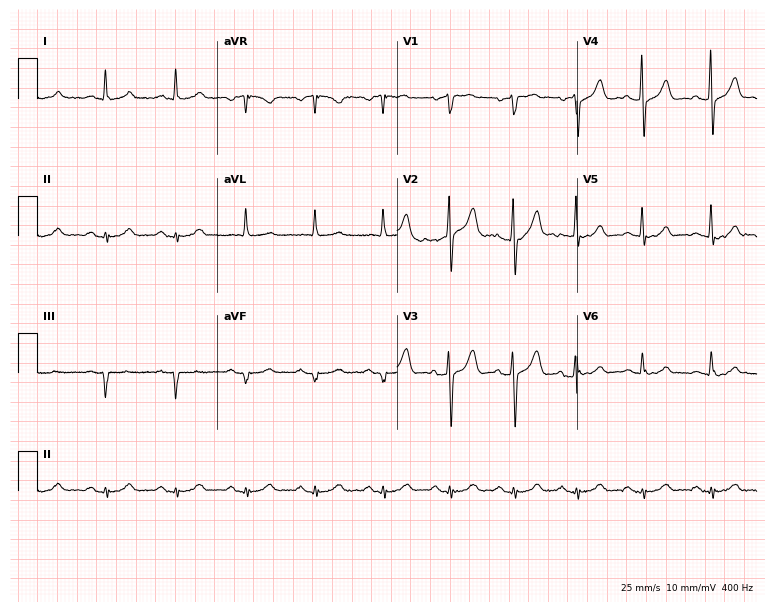
ECG — a 60-year-old male patient. Screened for six findings — first-degree AV block, right bundle branch block, left bundle branch block, sinus bradycardia, atrial fibrillation, sinus tachycardia — none is recorded. Only these six findings were labelled.